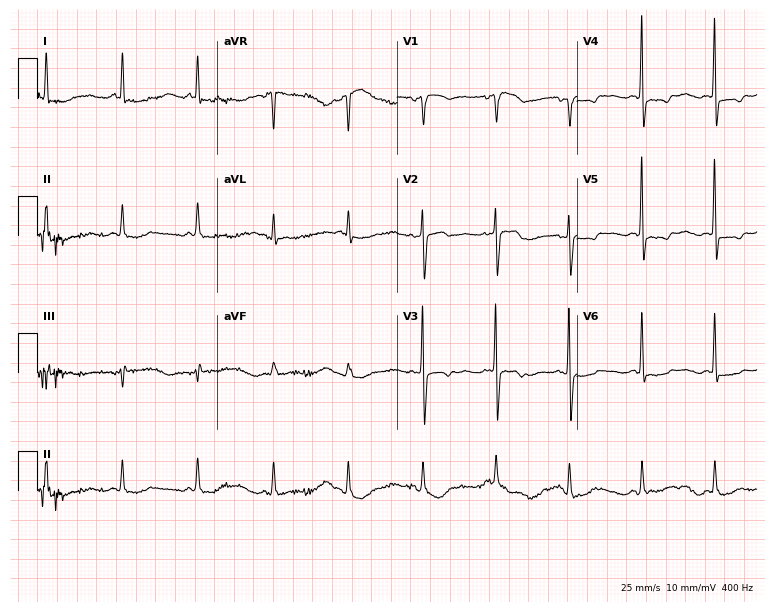
Resting 12-lead electrocardiogram (7.3-second recording at 400 Hz). Patient: an 80-year-old female. None of these six findings is recorded: first-degree AV block, right bundle branch block, left bundle branch block, sinus bradycardia, atrial fibrillation, sinus tachycardia.